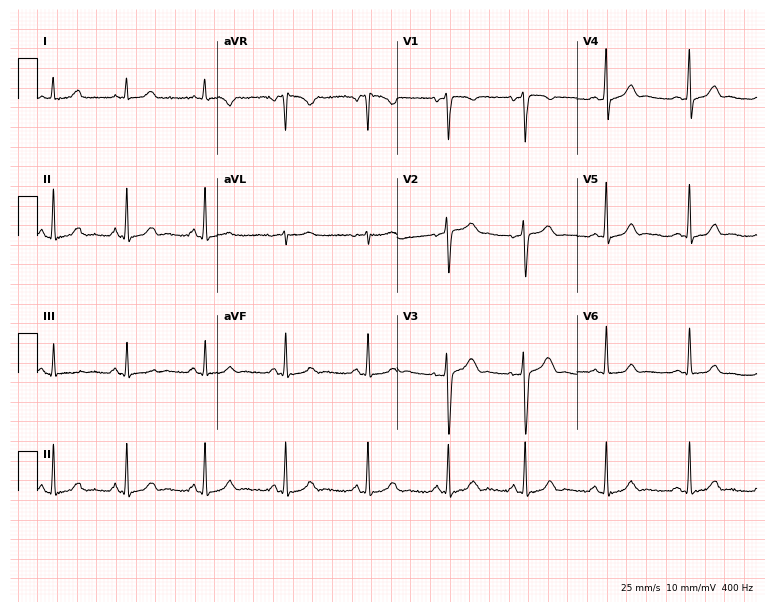
12-lead ECG from a 44-year-old woman (7.3-second recording at 400 Hz). Recorded interpretation: within normal limits.